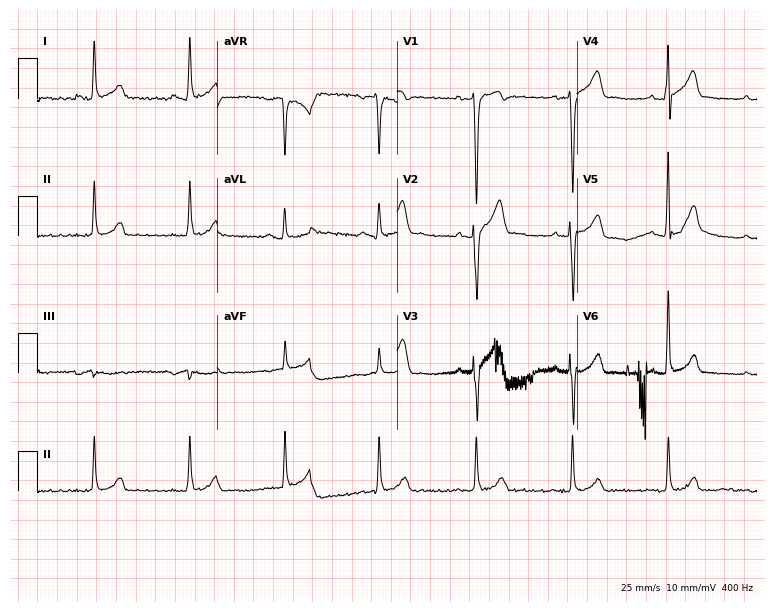
ECG (7.3-second recording at 400 Hz) — a man, 30 years old. Screened for six findings — first-degree AV block, right bundle branch block, left bundle branch block, sinus bradycardia, atrial fibrillation, sinus tachycardia — none is recorded.